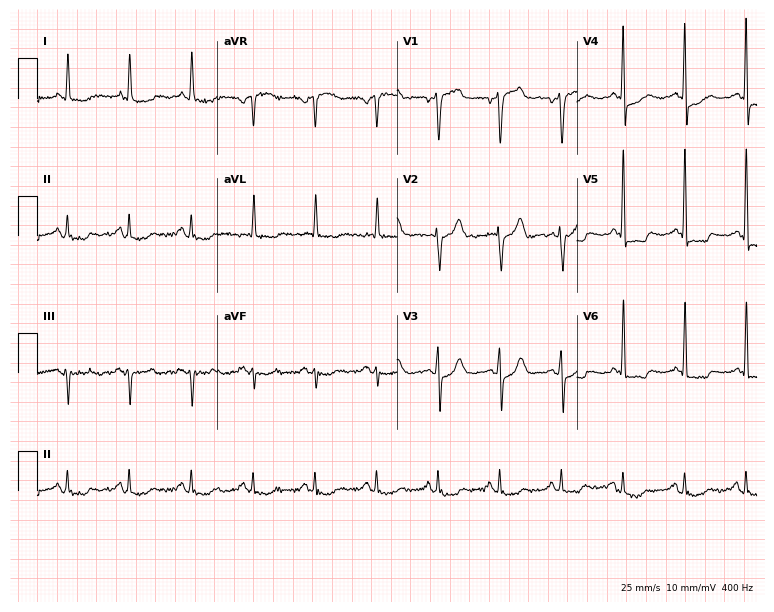
ECG — a 79-year-old male. Screened for six findings — first-degree AV block, right bundle branch block, left bundle branch block, sinus bradycardia, atrial fibrillation, sinus tachycardia — none is recorded. Only these six findings were labelled.